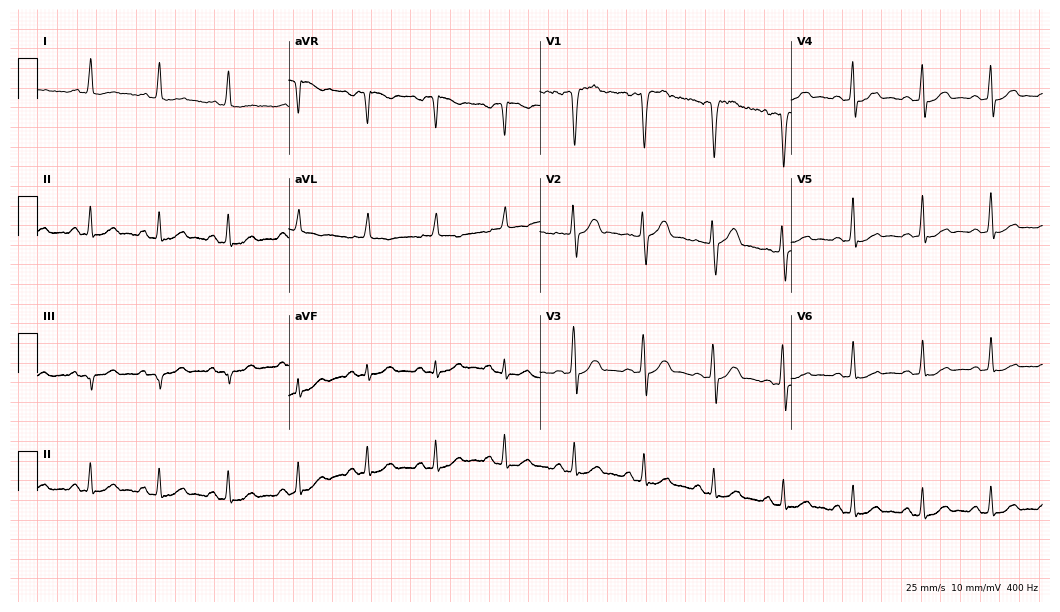
Resting 12-lead electrocardiogram. Patient: a woman, 64 years old. None of these six findings is recorded: first-degree AV block, right bundle branch block, left bundle branch block, sinus bradycardia, atrial fibrillation, sinus tachycardia. Findings outside these six are not listed.